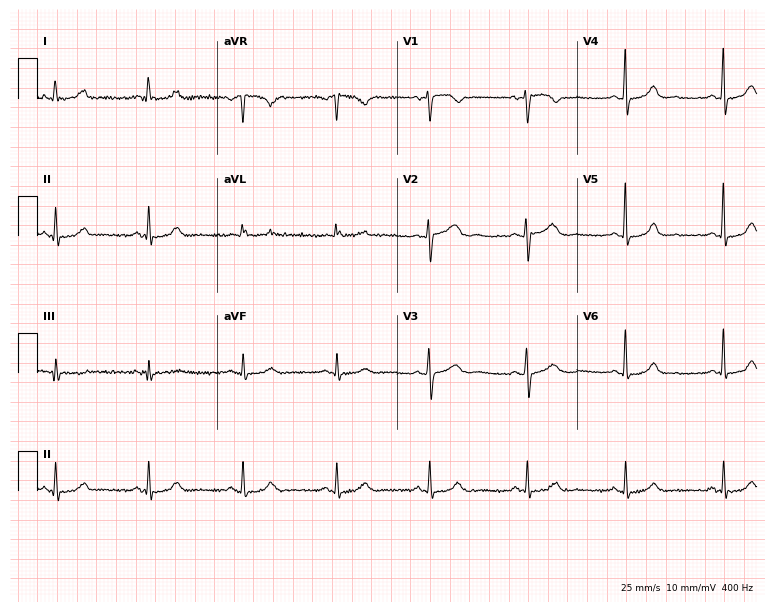
ECG (7.3-second recording at 400 Hz) — a female, 45 years old. Labelled as a normal ECG.